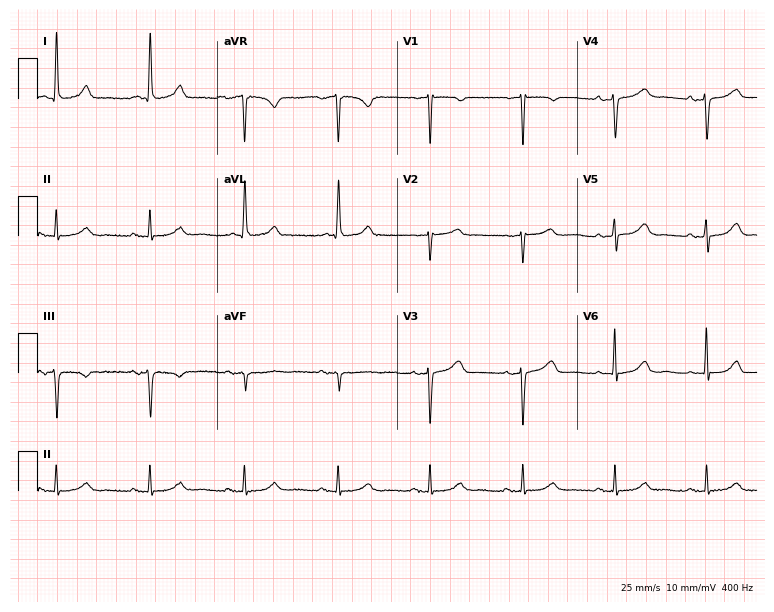
ECG — a 66-year-old female. Screened for six findings — first-degree AV block, right bundle branch block, left bundle branch block, sinus bradycardia, atrial fibrillation, sinus tachycardia — none is recorded. Only these six findings were labelled.